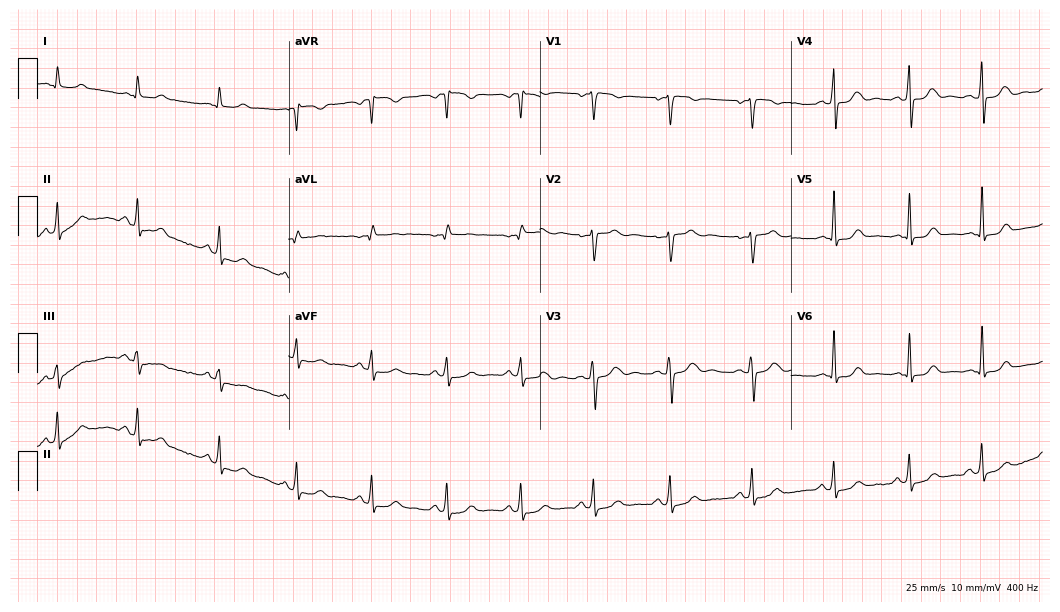
Electrocardiogram, a 29-year-old female. Overall reading on record: normal ECG.